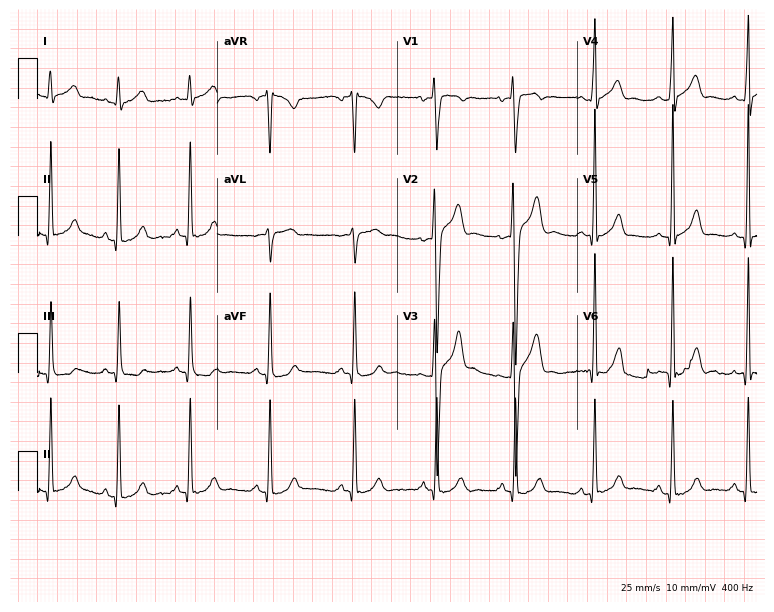
ECG — a man, 20 years old. Labelled as a normal ECG.